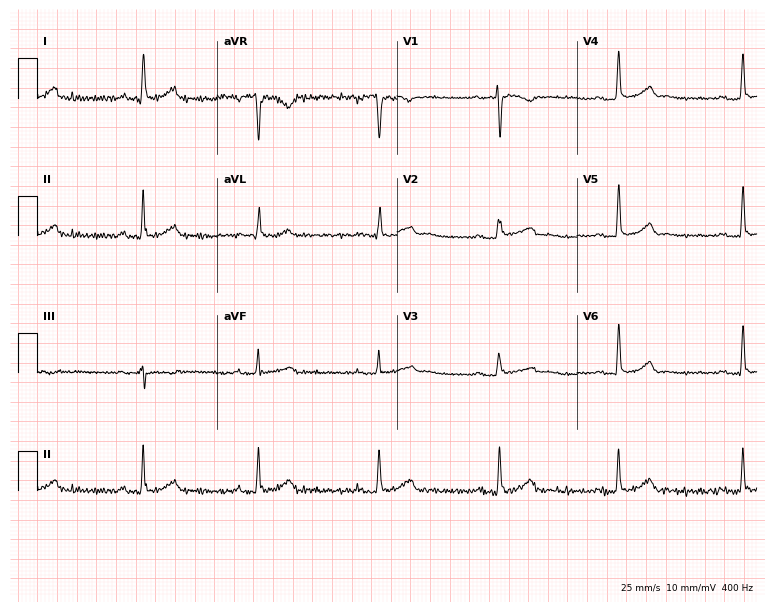
Electrocardiogram, a 49-year-old female patient. Interpretation includes first-degree AV block, sinus bradycardia (a sinus rate of 50 beats per minute or less).